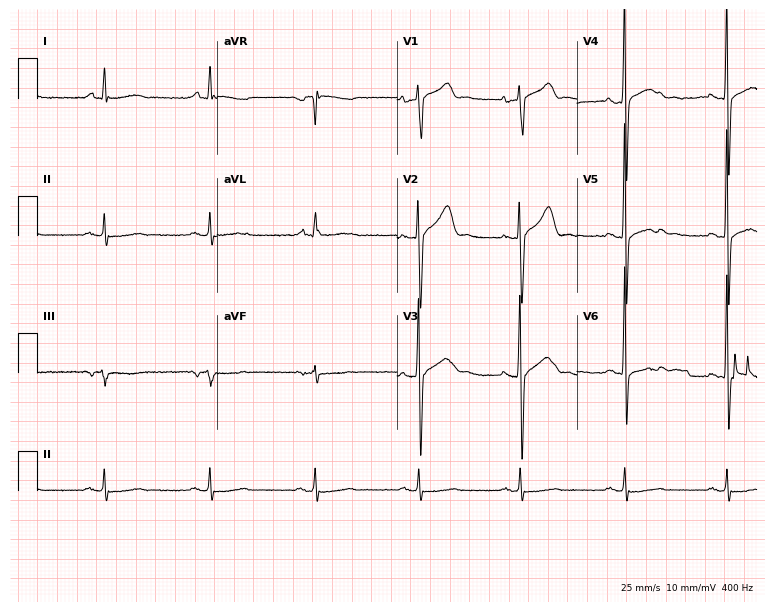
Resting 12-lead electrocardiogram. Patient: a male, 60 years old. None of these six findings is recorded: first-degree AV block, right bundle branch block (RBBB), left bundle branch block (LBBB), sinus bradycardia, atrial fibrillation (AF), sinus tachycardia.